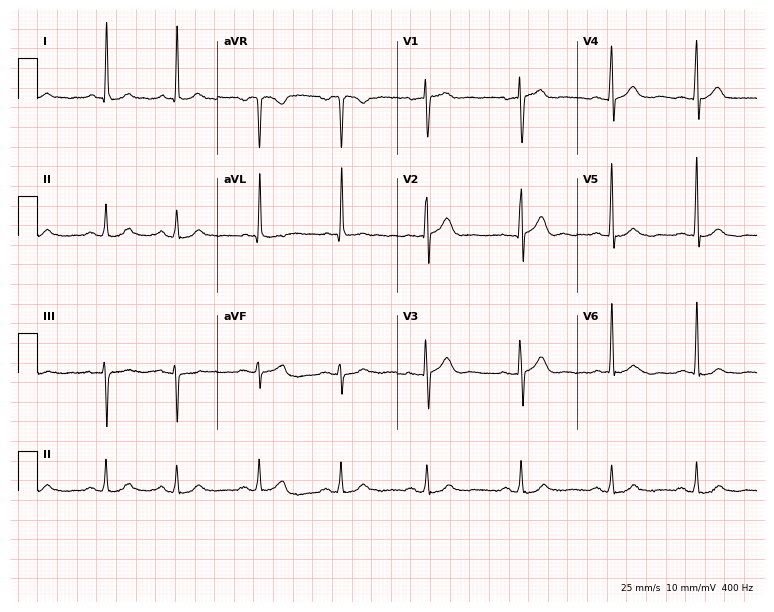
Electrocardiogram, a 64-year-old man. Of the six screened findings (first-degree AV block, right bundle branch block, left bundle branch block, sinus bradycardia, atrial fibrillation, sinus tachycardia), none is recorded.